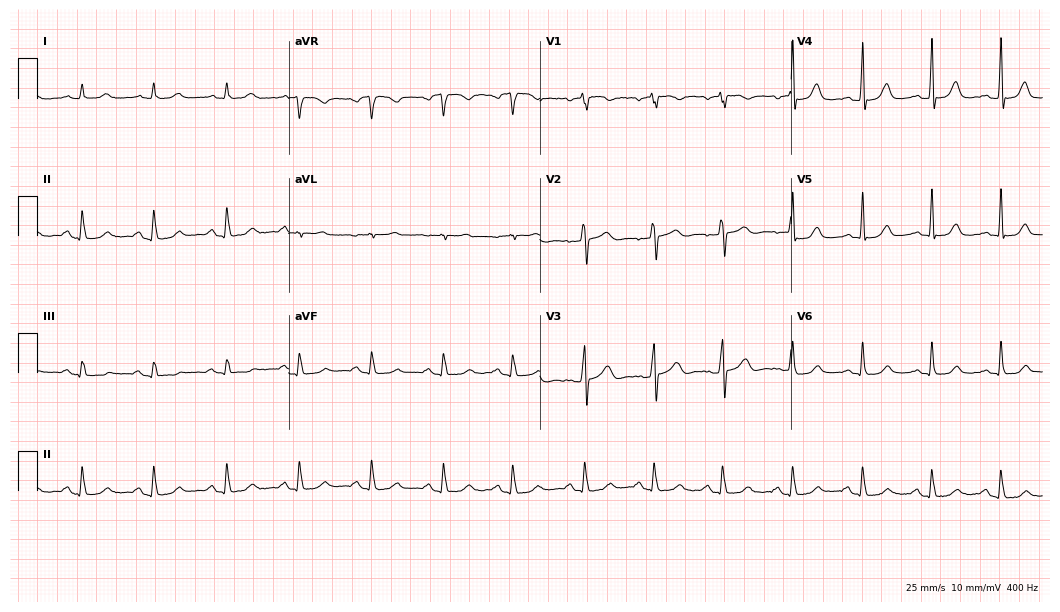
Resting 12-lead electrocardiogram (10.2-second recording at 400 Hz). Patient: a 40-year-old female. None of these six findings is recorded: first-degree AV block, right bundle branch block, left bundle branch block, sinus bradycardia, atrial fibrillation, sinus tachycardia. Only these six findings were labelled.